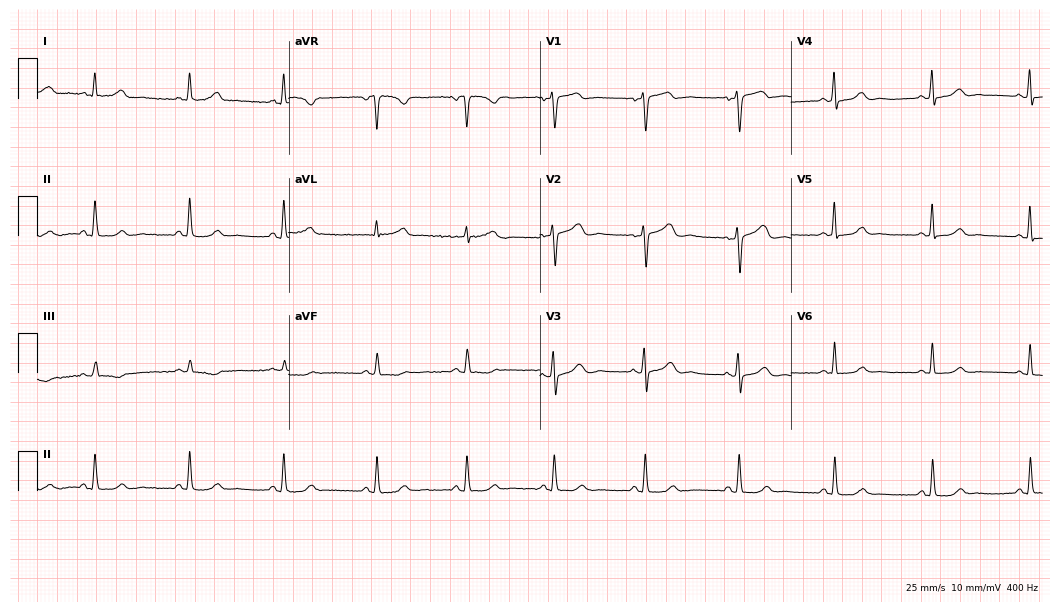
ECG (10.2-second recording at 400 Hz) — a woman, 50 years old. Labelled as a normal ECG.